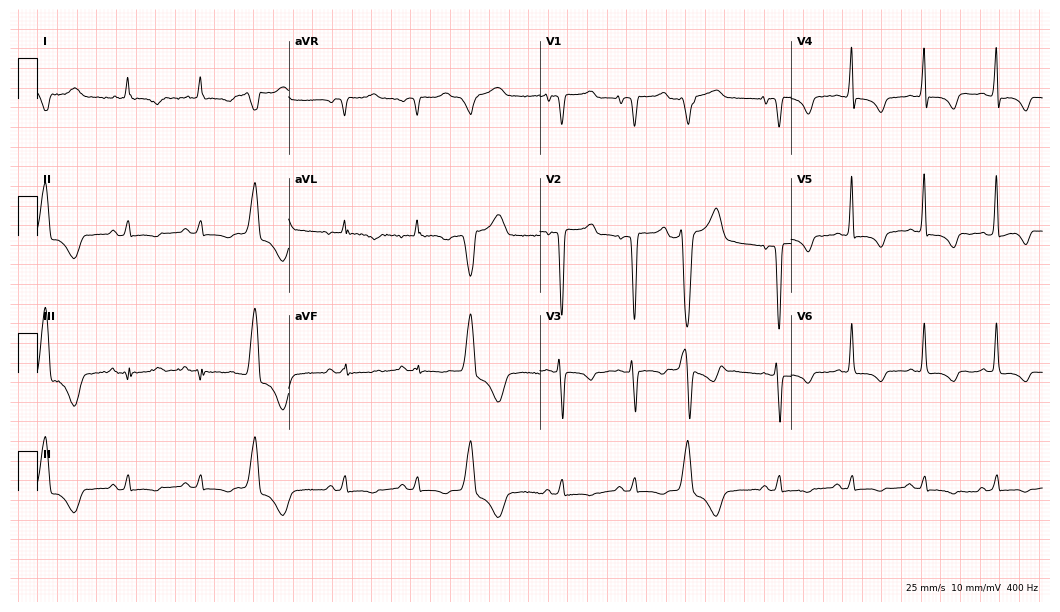
12-lead ECG (10.2-second recording at 400 Hz) from a 72-year-old female. Screened for six findings — first-degree AV block, right bundle branch block (RBBB), left bundle branch block (LBBB), sinus bradycardia, atrial fibrillation (AF), sinus tachycardia — none is recorded. Only these six findings were labelled.